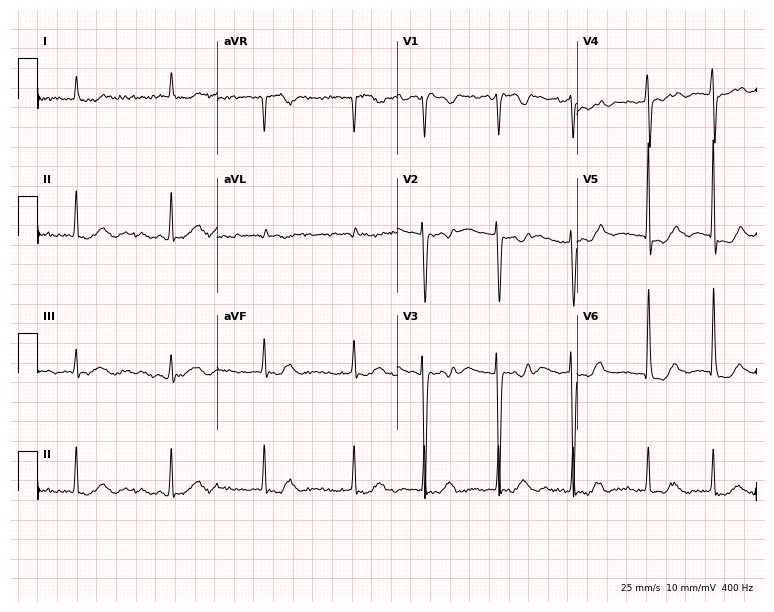
ECG (7.3-second recording at 400 Hz) — a 78-year-old female patient. Findings include atrial fibrillation (AF).